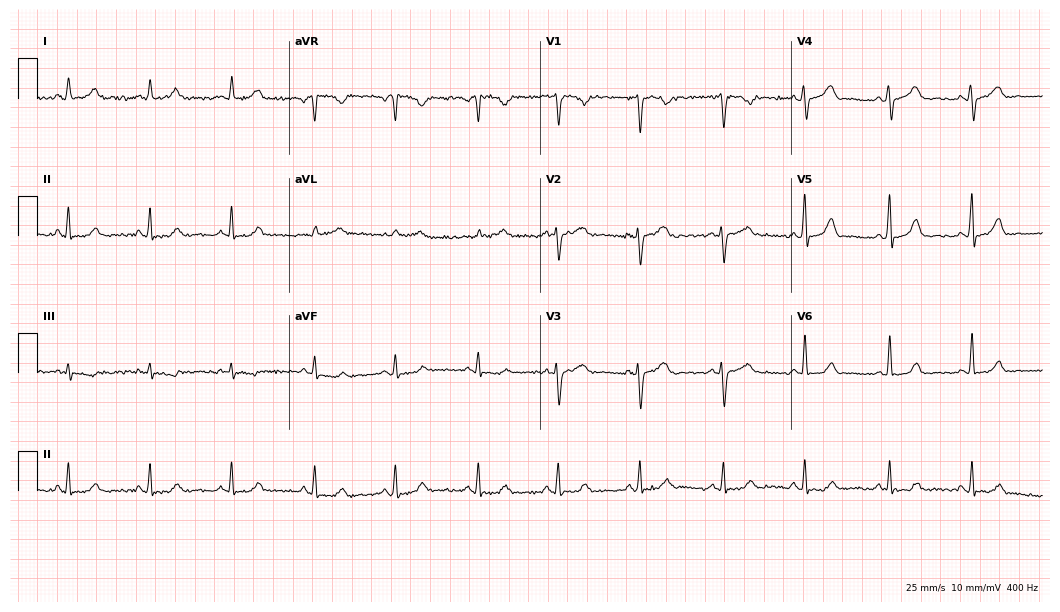
ECG — a female patient, 44 years old. Screened for six findings — first-degree AV block, right bundle branch block, left bundle branch block, sinus bradycardia, atrial fibrillation, sinus tachycardia — none is recorded. Only these six findings were labelled.